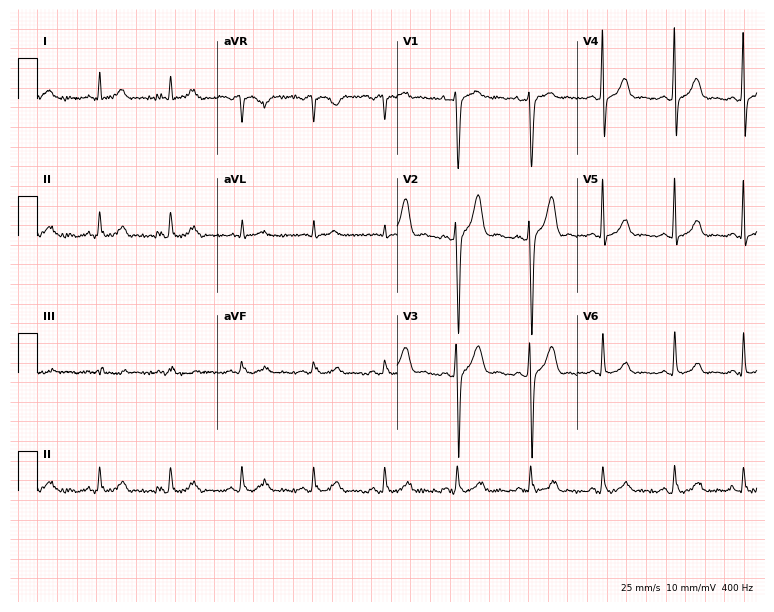
Standard 12-lead ECG recorded from a man, 36 years old (7.3-second recording at 400 Hz). Read as a normal ECG.